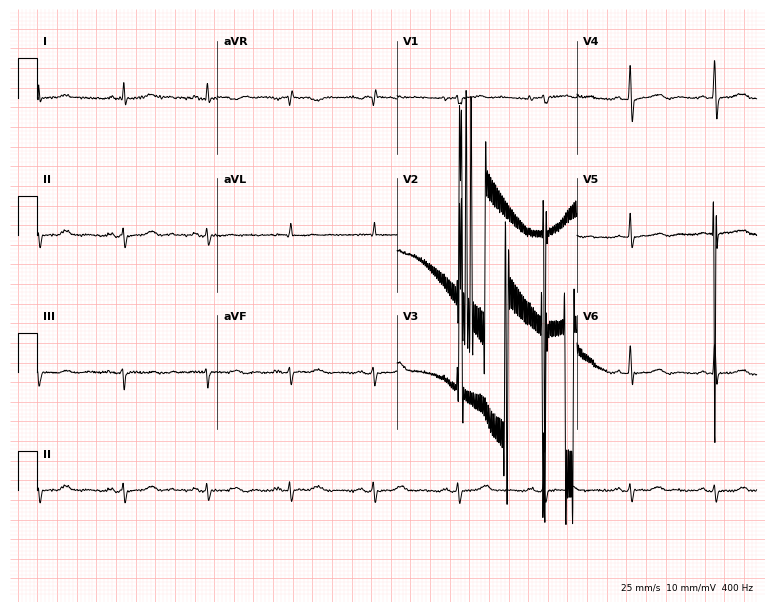
12-lead ECG from a 62-year-old female. Screened for six findings — first-degree AV block, right bundle branch block, left bundle branch block, sinus bradycardia, atrial fibrillation, sinus tachycardia — none is recorded. Other findings, if any, are not listed.